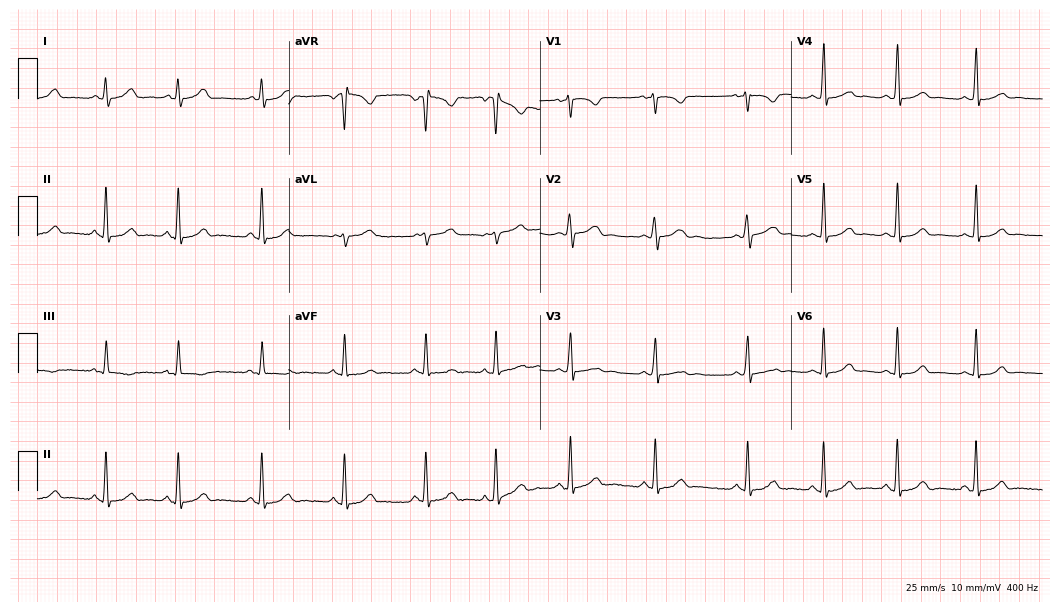
Electrocardiogram, a female, 23 years old. Overall reading on record: normal ECG.